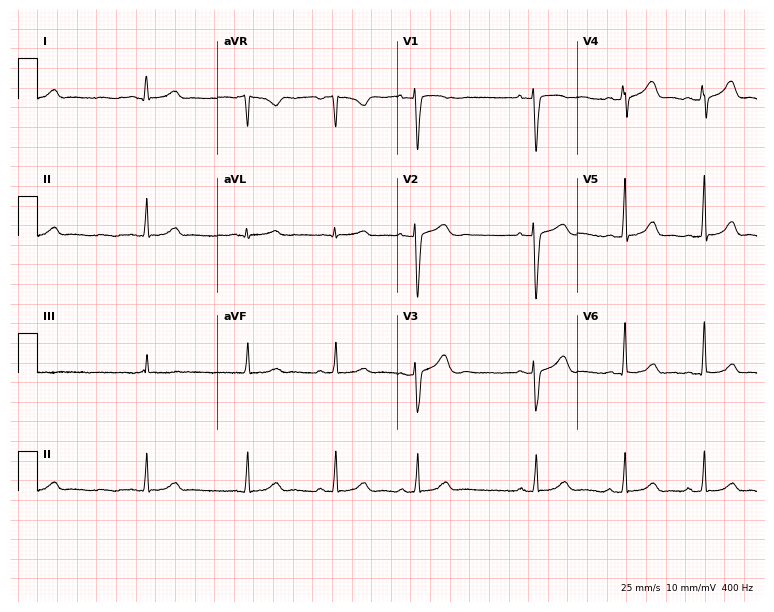
Electrocardiogram, a 36-year-old woman. Of the six screened findings (first-degree AV block, right bundle branch block (RBBB), left bundle branch block (LBBB), sinus bradycardia, atrial fibrillation (AF), sinus tachycardia), none is recorded. Other findings, if any, are not listed.